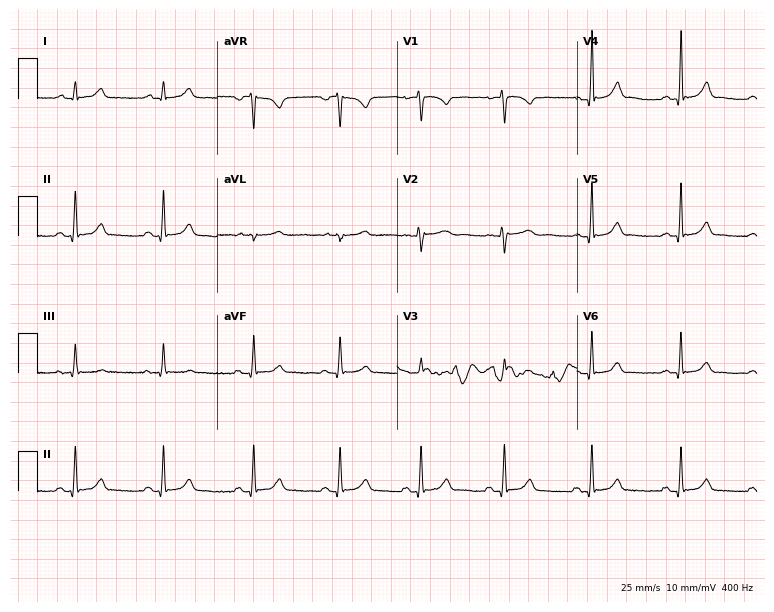
Electrocardiogram (7.3-second recording at 400 Hz), a 31-year-old female. Of the six screened findings (first-degree AV block, right bundle branch block (RBBB), left bundle branch block (LBBB), sinus bradycardia, atrial fibrillation (AF), sinus tachycardia), none is recorded. Findings outside these six are not listed.